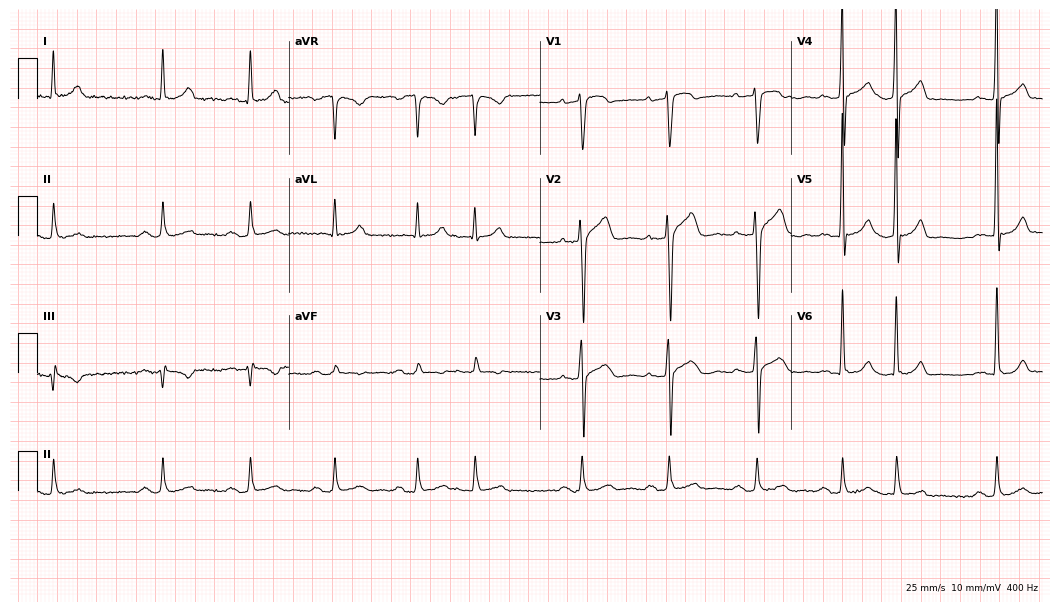
Electrocardiogram, a 72-year-old male patient. Interpretation includes first-degree AV block.